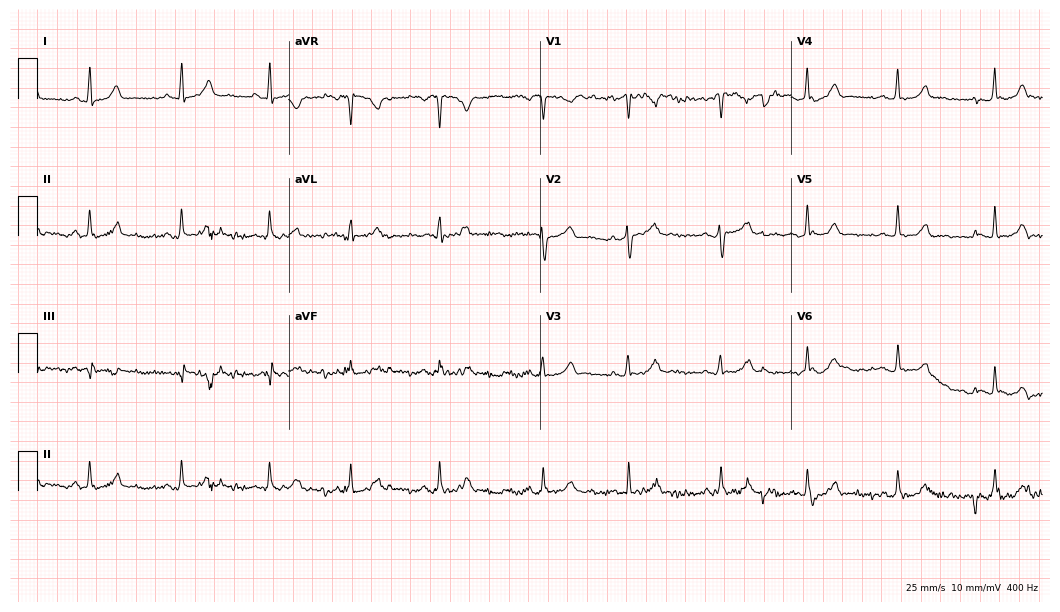
ECG (10.2-second recording at 400 Hz) — a 35-year-old woman. Labelled as a normal ECG.